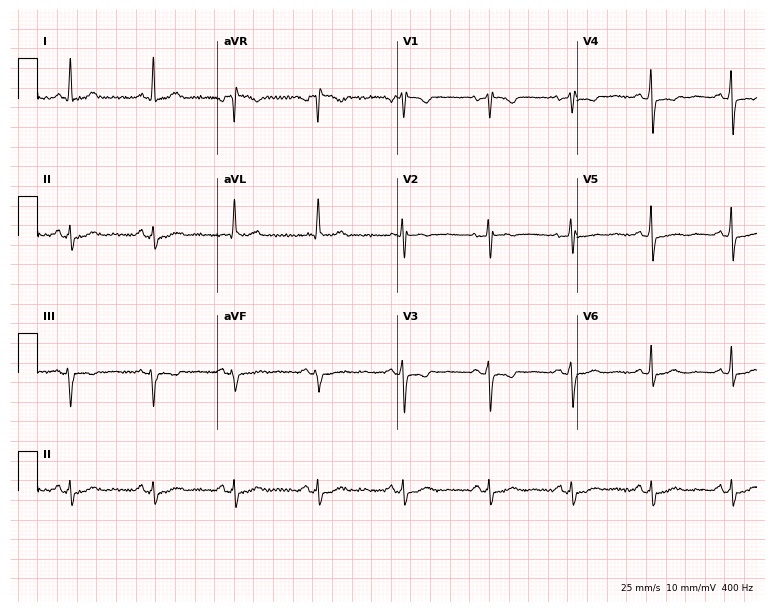
ECG (7.3-second recording at 400 Hz) — a 56-year-old female patient. Screened for six findings — first-degree AV block, right bundle branch block (RBBB), left bundle branch block (LBBB), sinus bradycardia, atrial fibrillation (AF), sinus tachycardia — none is recorded. Only these six findings were labelled.